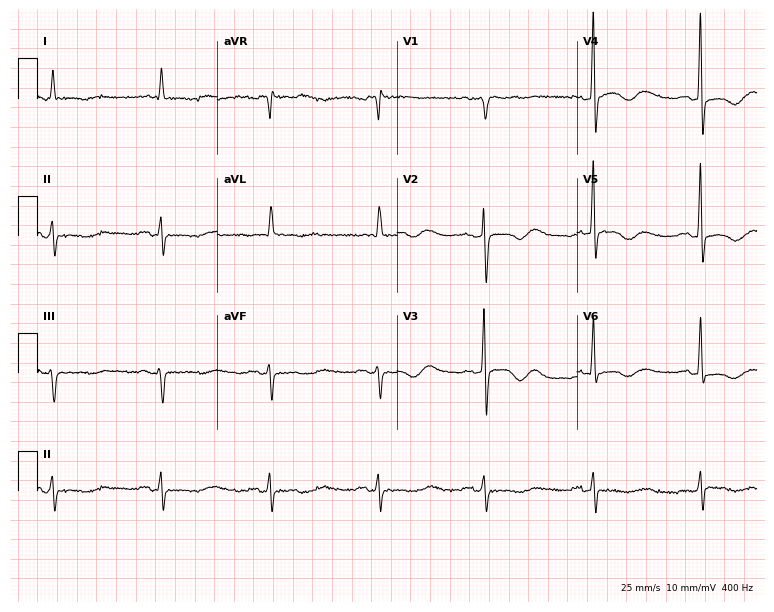
Standard 12-lead ECG recorded from an 82-year-old male. None of these six findings is recorded: first-degree AV block, right bundle branch block, left bundle branch block, sinus bradycardia, atrial fibrillation, sinus tachycardia.